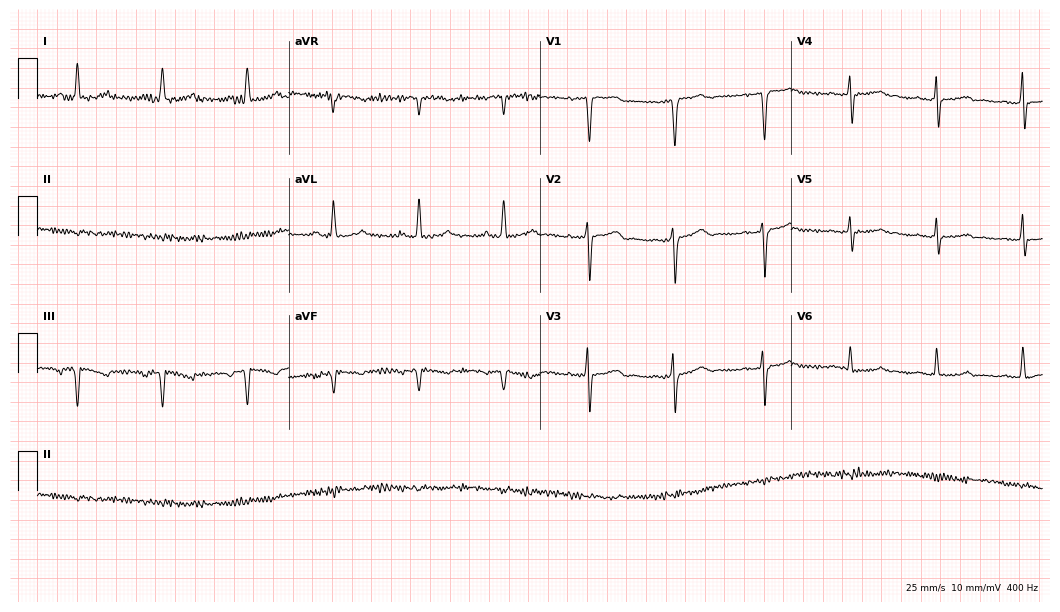
12-lead ECG (10.2-second recording at 400 Hz) from a 74-year-old female. Screened for six findings — first-degree AV block, right bundle branch block, left bundle branch block, sinus bradycardia, atrial fibrillation, sinus tachycardia — none is recorded. Only these six findings were labelled.